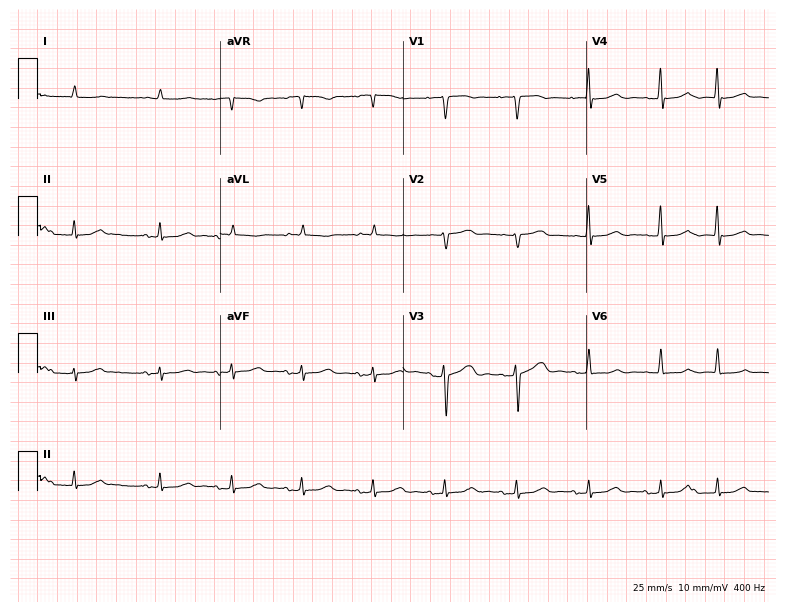
Standard 12-lead ECG recorded from a male, 74 years old (7.5-second recording at 400 Hz). None of these six findings is recorded: first-degree AV block, right bundle branch block (RBBB), left bundle branch block (LBBB), sinus bradycardia, atrial fibrillation (AF), sinus tachycardia.